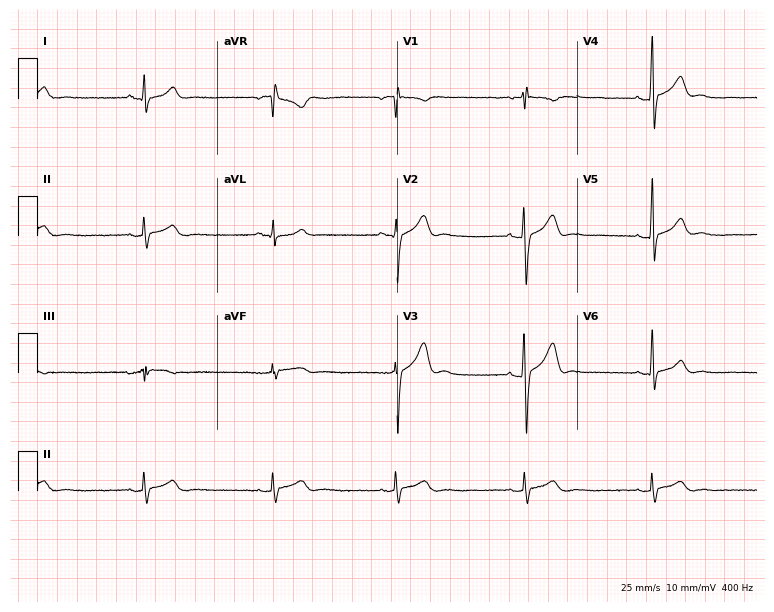
ECG — a 28-year-old male. Findings include sinus bradycardia (a sinus rate of 50 beats per minute or less).